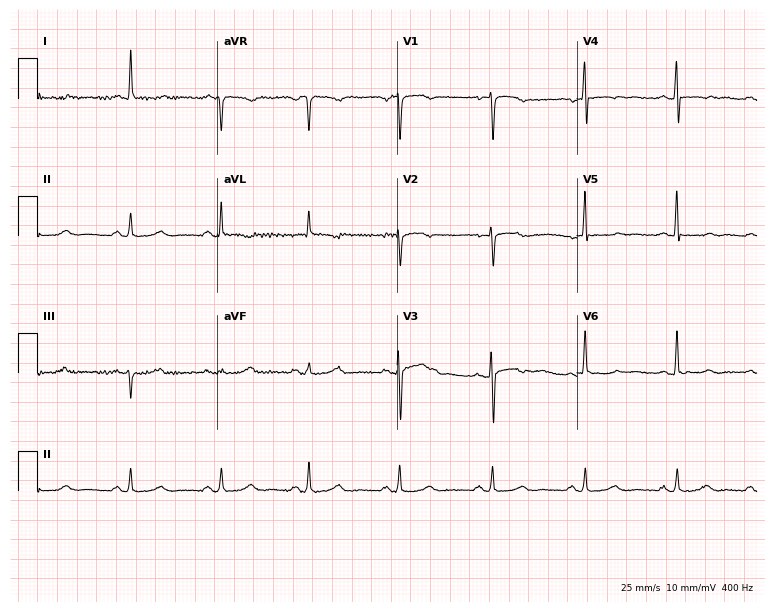
Electrocardiogram, a 65-year-old female. Overall reading on record: normal ECG.